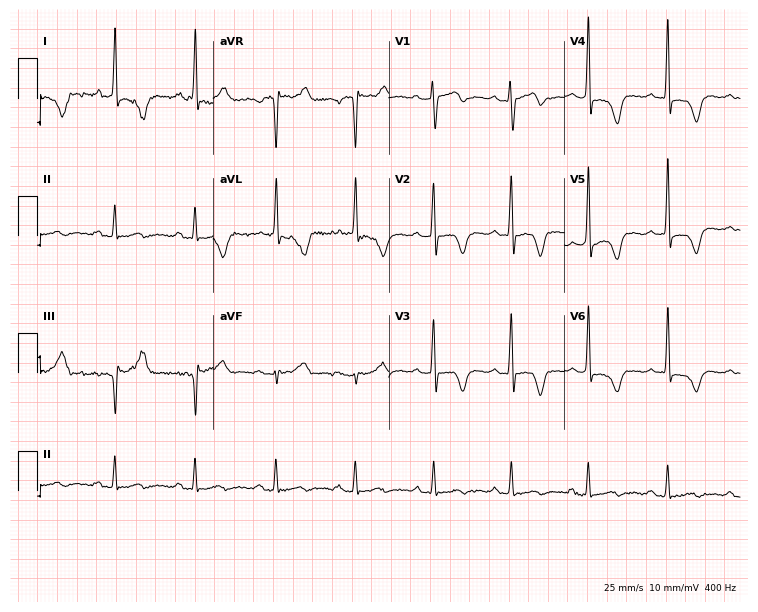
12-lead ECG from a female patient, 49 years old (7.2-second recording at 400 Hz). No first-degree AV block, right bundle branch block, left bundle branch block, sinus bradycardia, atrial fibrillation or sinus tachycardia recorded for this tracing. Other findings, if any, are not listed.